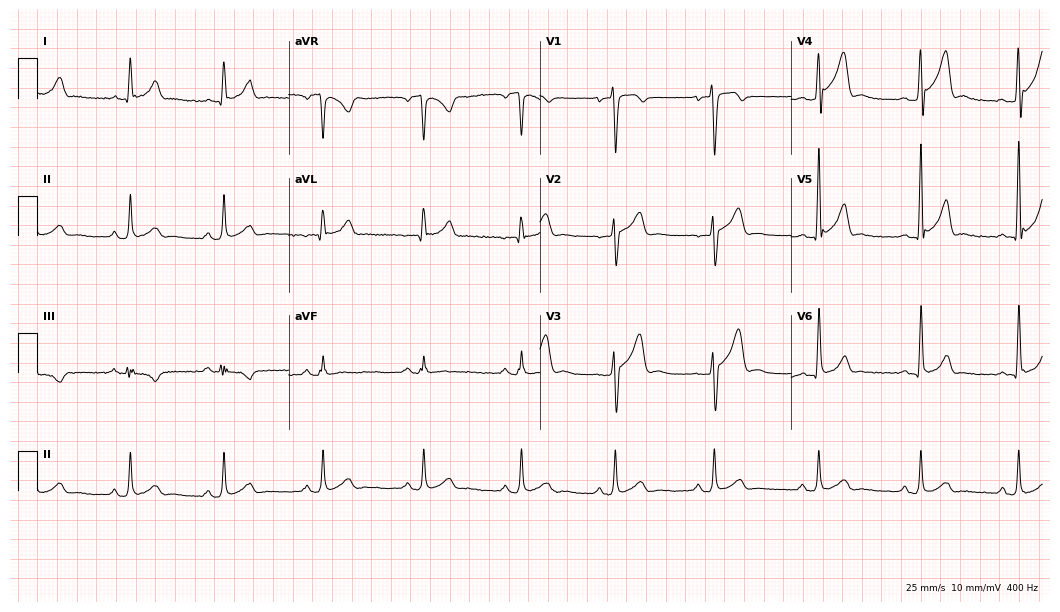
Resting 12-lead electrocardiogram (10.2-second recording at 400 Hz). Patient: a man, 21 years old. Read as a normal ECG.